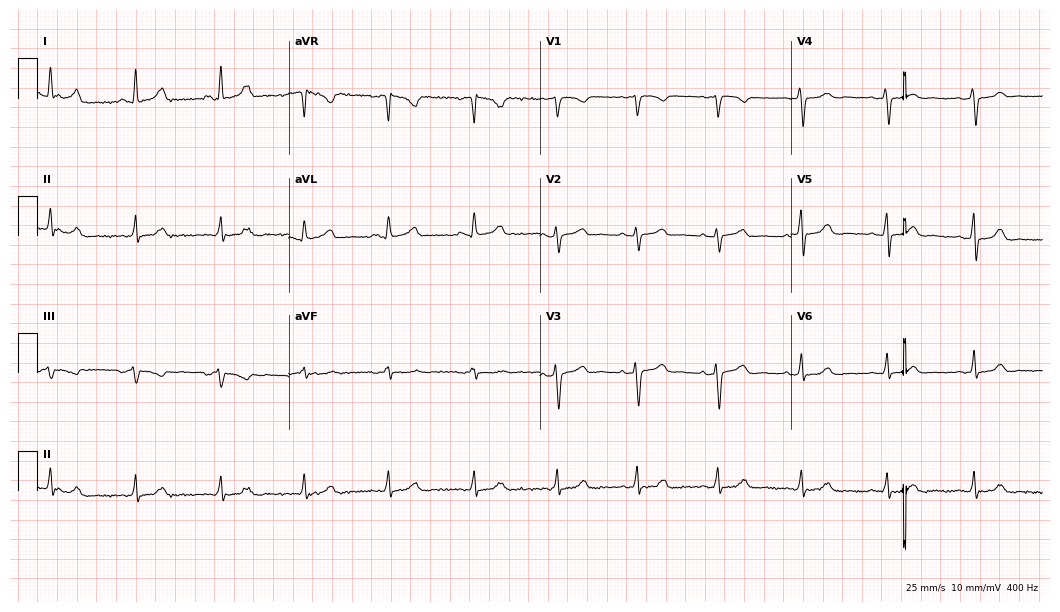
12-lead ECG from a 41-year-old female (10.2-second recording at 400 Hz). Recorded interpretation: within normal limits.